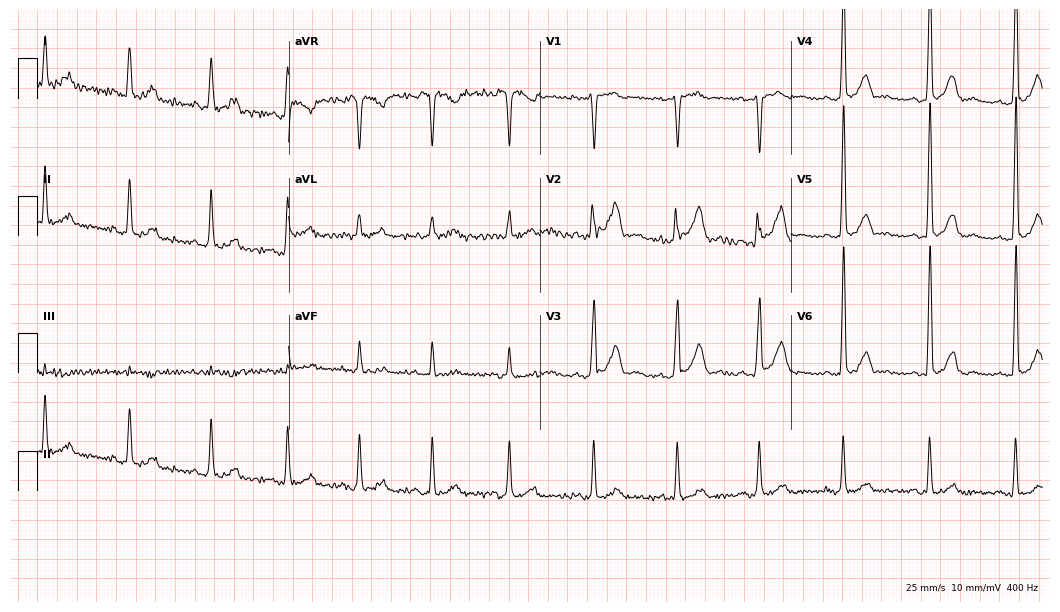
Standard 12-lead ECG recorded from a male patient, 39 years old. Read as a normal ECG.